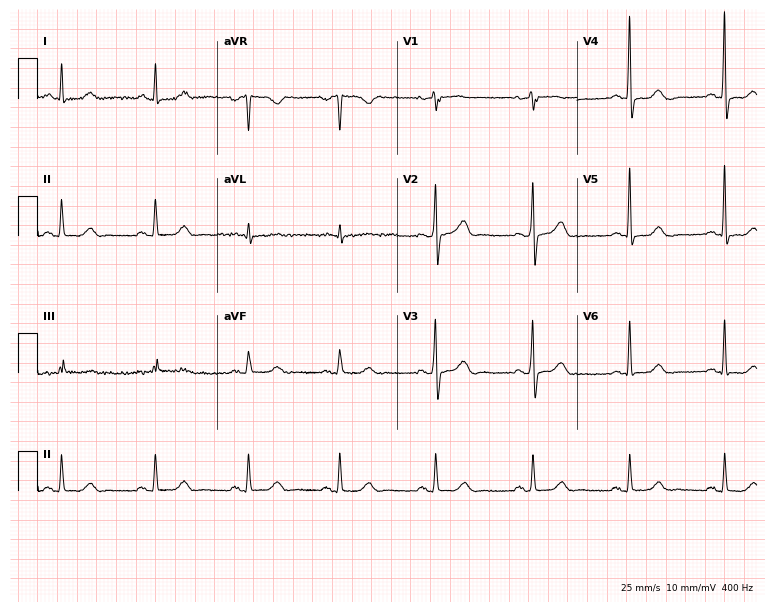
Resting 12-lead electrocardiogram. Patient: a 48-year-old woman. None of these six findings is recorded: first-degree AV block, right bundle branch block, left bundle branch block, sinus bradycardia, atrial fibrillation, sinus tachycardia.